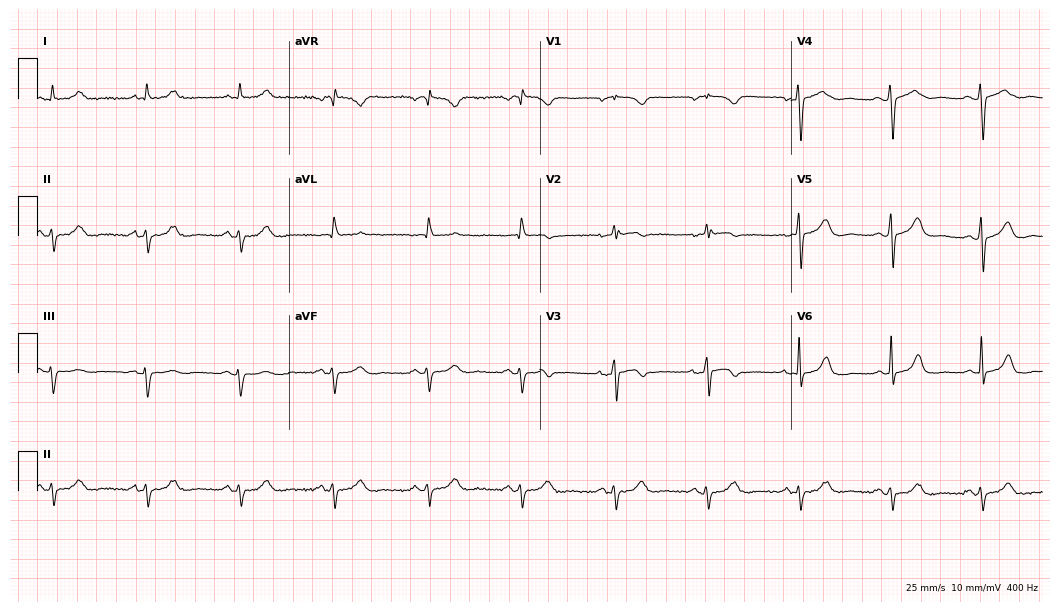
Standard 12-lead ECG recorded from a female, 72 years old. None of these six findings is recorded: first-degree AV block, right bundle branch block, left bundle branch block, sinus bradycardia, atrial fibrillation, sinus tachycardia. Other findings, if any, are not listed.